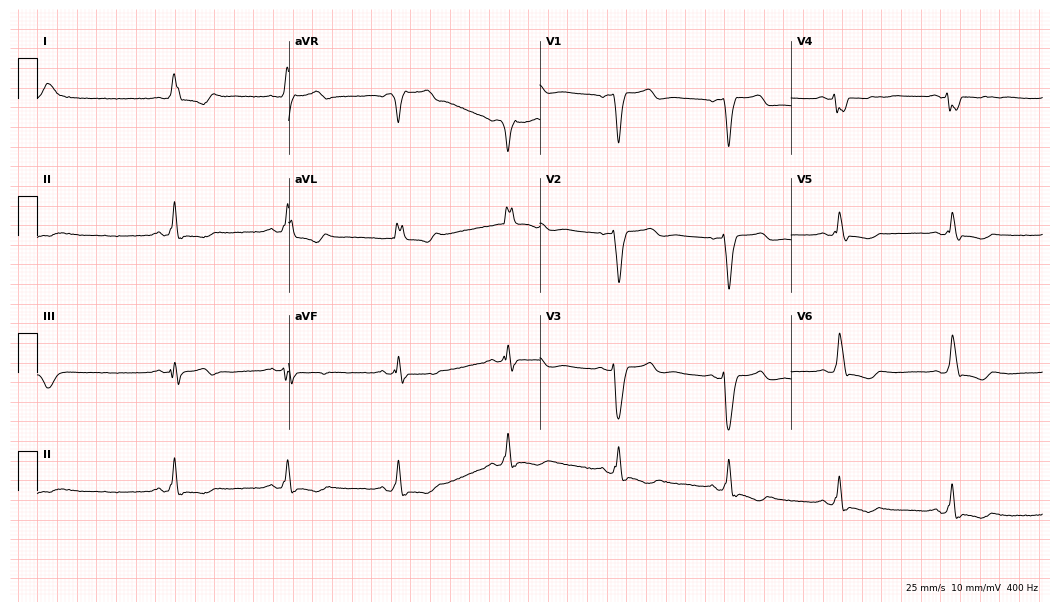
12-lead ECG from a 72-year-old female. Findings include left bundle branch block.